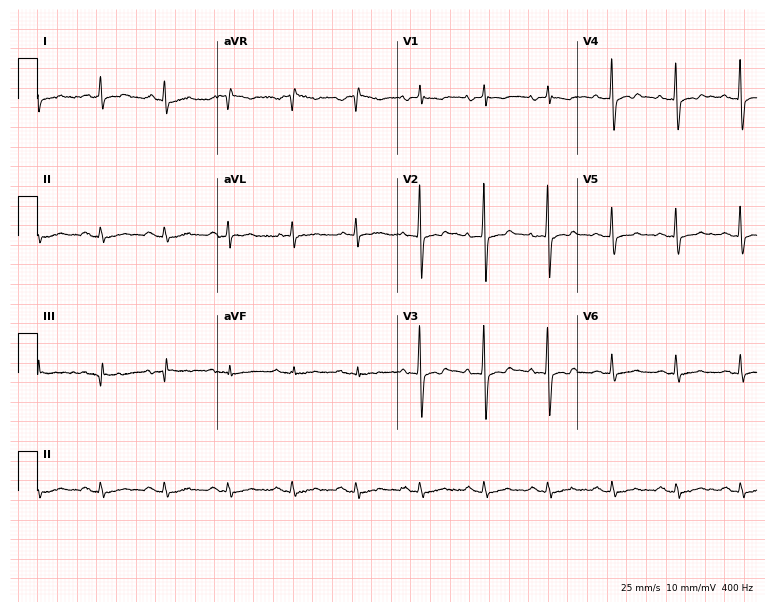
Resting 12-lead electrocardiogram. Patient: a 72-year-old man. None of these six findings is recorded: first-degree AV block, right bundle branch block, left bundle branch block, sinus bradycardia, atrial fibrillation, sinus tachycardia.